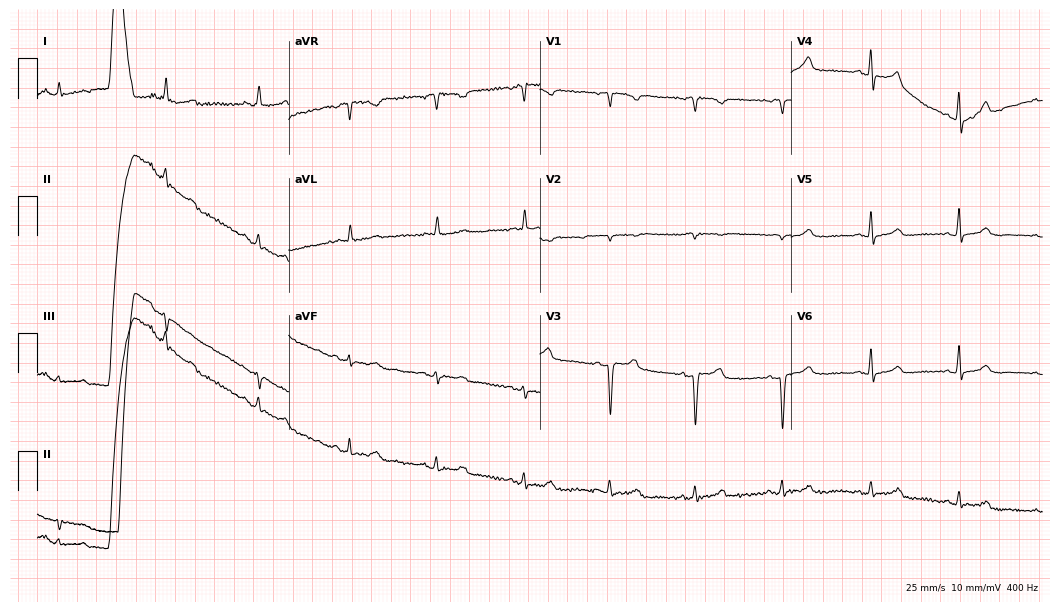
Standard 12-lead ECG recorded from a 65-year-old female (10.2-second recording at 400 Hz). None of these six findings is recorded: first-degree AV block, right bundle branch block (RBBB), left bundle branch block (LBBB), sinus bradycardia, atrial fibrillation (AF), sinus tachycardia.